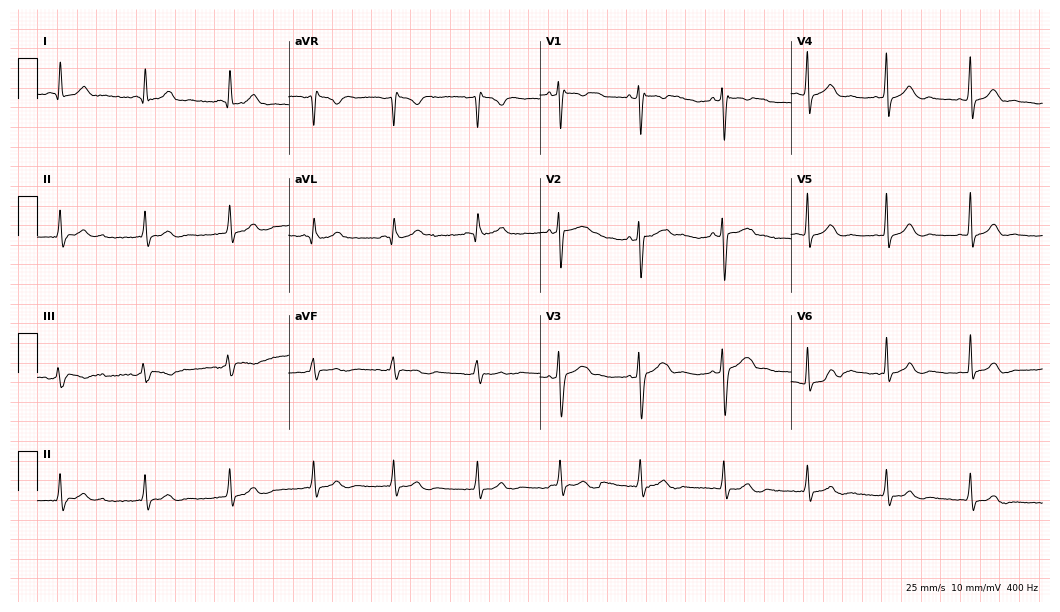
Resting 12-lead electrocardiogram. Patient: a 20-year-old female. None of these six findings is recorded: first-degree AV block, right bundle branch block, left bundle branch block, sinus bradycardia, atrial fibrillation, sinus tachycardia. Only these six findings were labelled.